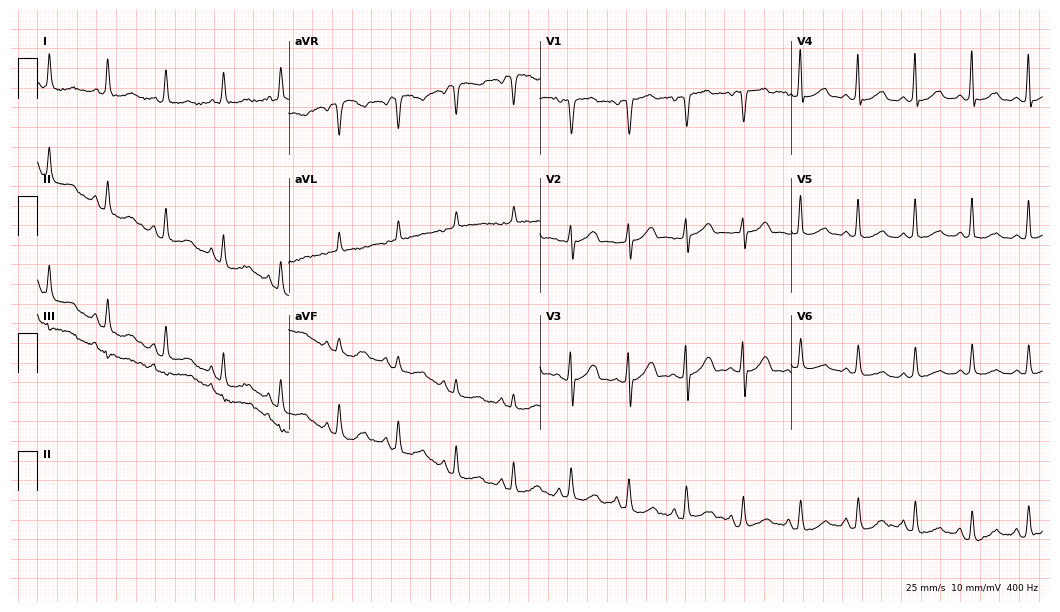
Standard 12-lead ECG recorded from a 73-year-old female patient. The tracing shows sinus tachycardia (a sinus rate of 100 beats per minute or more).